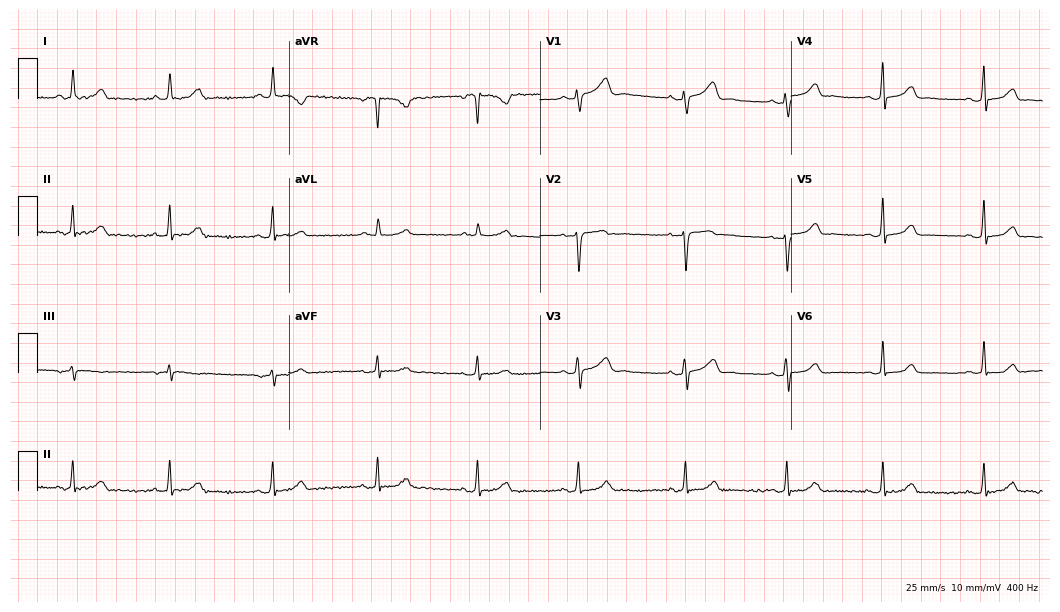
Electrocardiogram, a female patient, 35 years old. Overall reading on record: normal ECG.